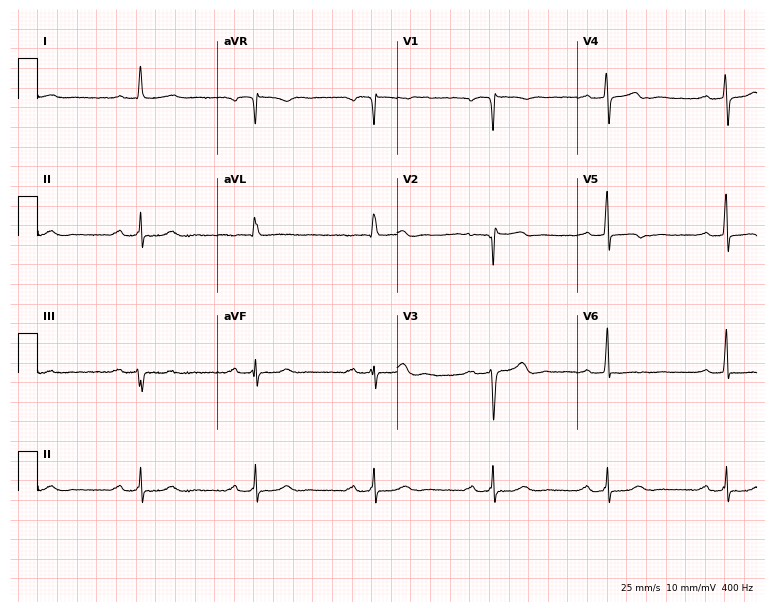
ECG (7.3-second recording at 400 Hz) — a female, 85 years old. Findings include first-degree AV block.